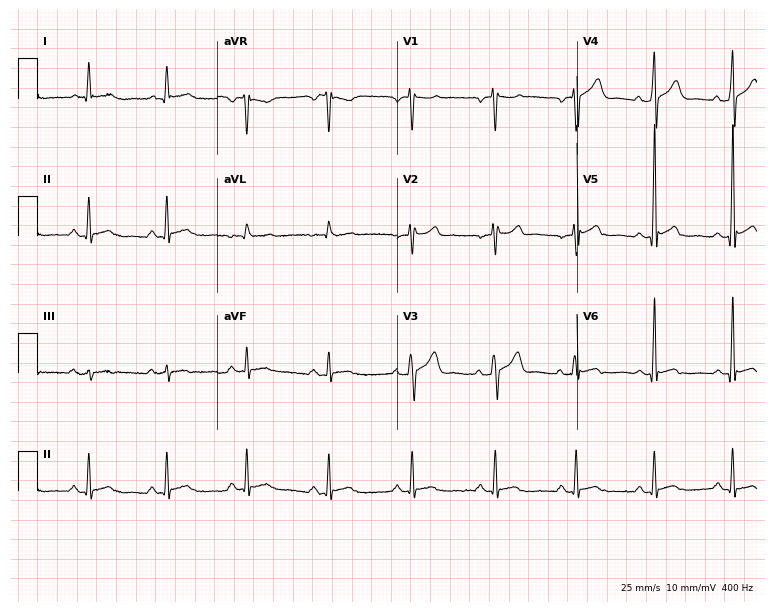
Standard 12-lead ECG recorded from a man, 44 years old. Read as a normal ECG.